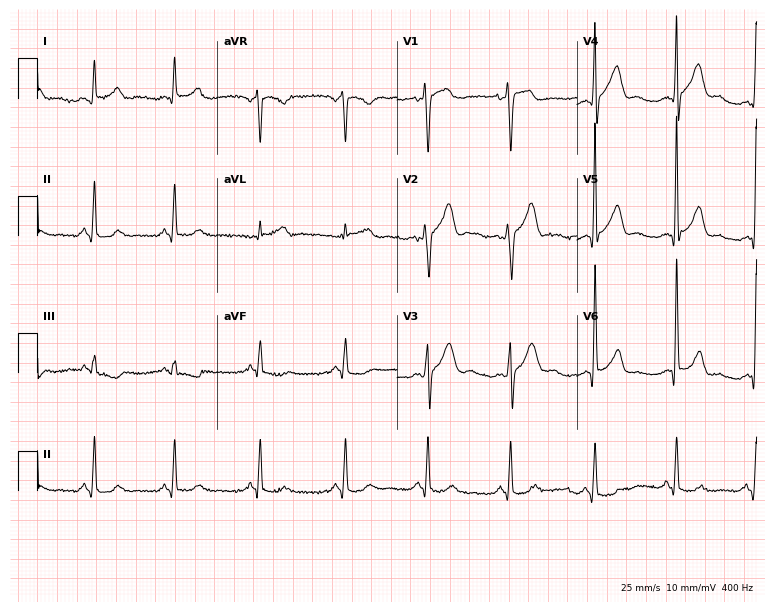
12-lead ECG from a male, 44 years old. Screened for six findings — first-degree AV block, right bundle branch block, left bundle branch block, sinus bradycardia, atrial fibrillation, sinus tachycardia — none is recorded. Only these six findings were labelled.